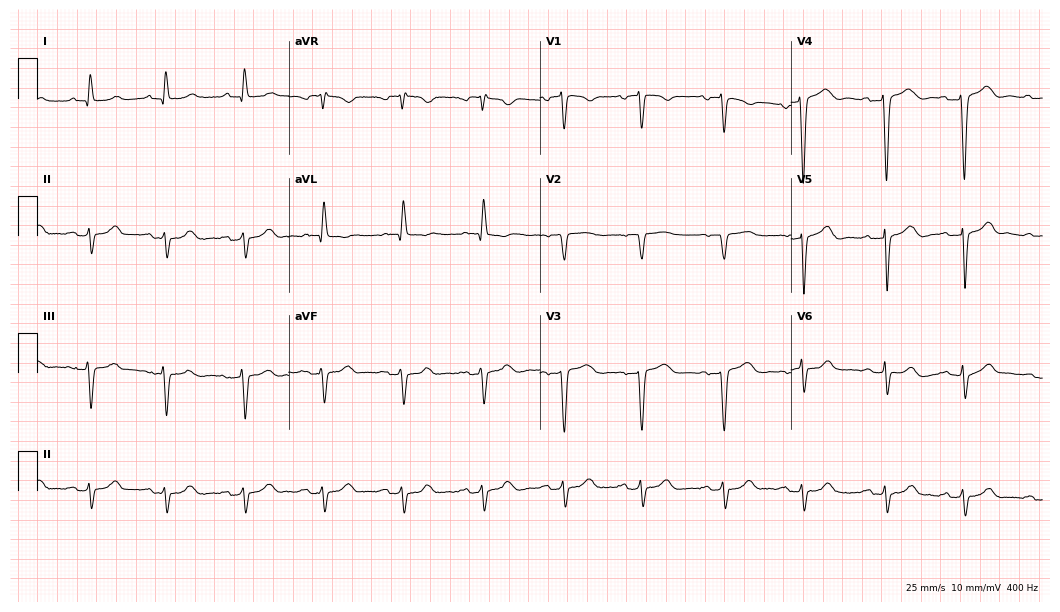
Standard 12-lead ECG recorded from a woman, 72 years old (10.2-second recording at 400 Hz). None of these six findings is recorded: first-degree AV block, right bundle branch block, left bundle branch block, sinus bradycardia, atrial fibrillation, sinus tachycardia.